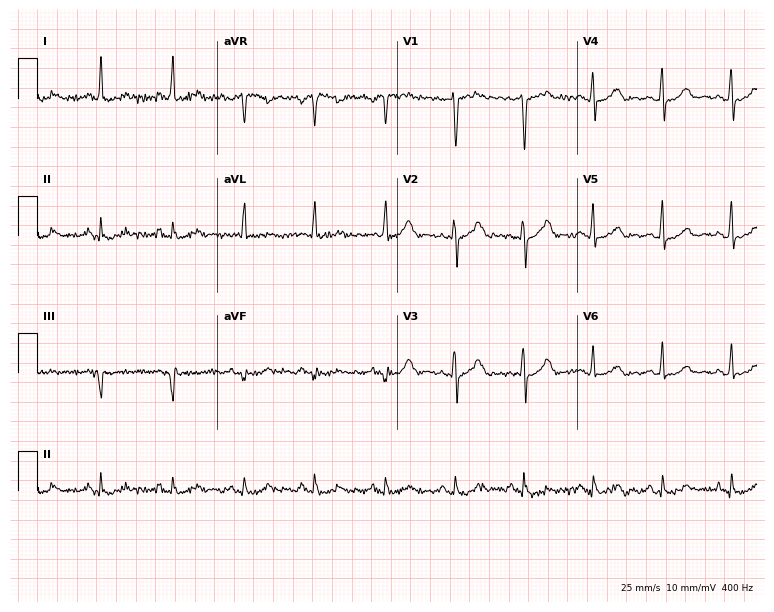
ECG — a female, 41 years old. Labelled as a normal ECG.